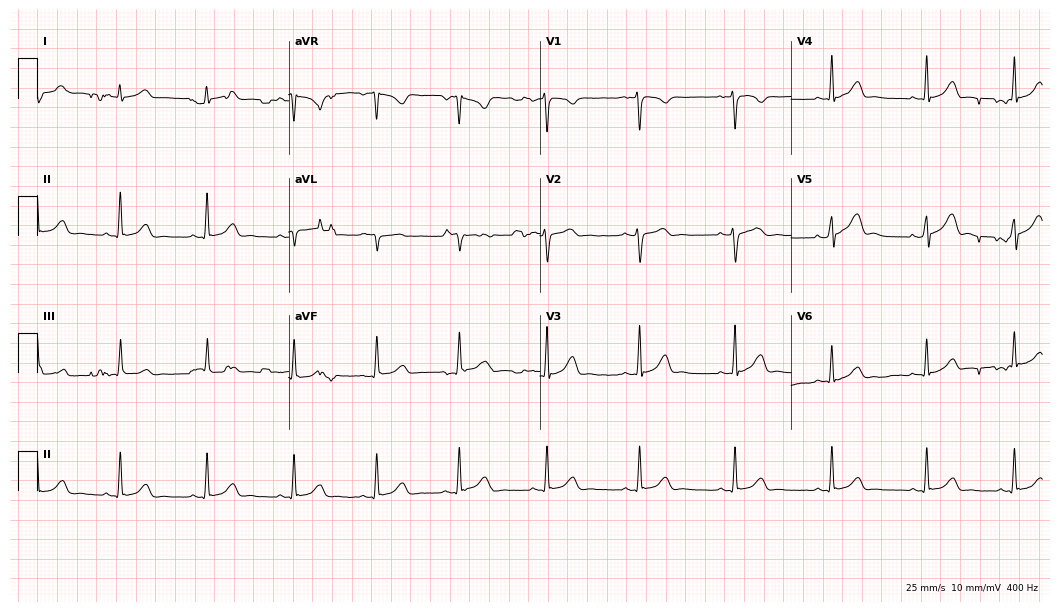
Electrocardiogram (10.2-second recording at 400 Hz), a 29-year-old female. Of the six screened findings (first-degree AV block, right bundle branch block (RBBB), left bundle branch block (LBBB), sinus bradycardia, atrial fibrillation (AF), sinus tachycardia), none is recorded.